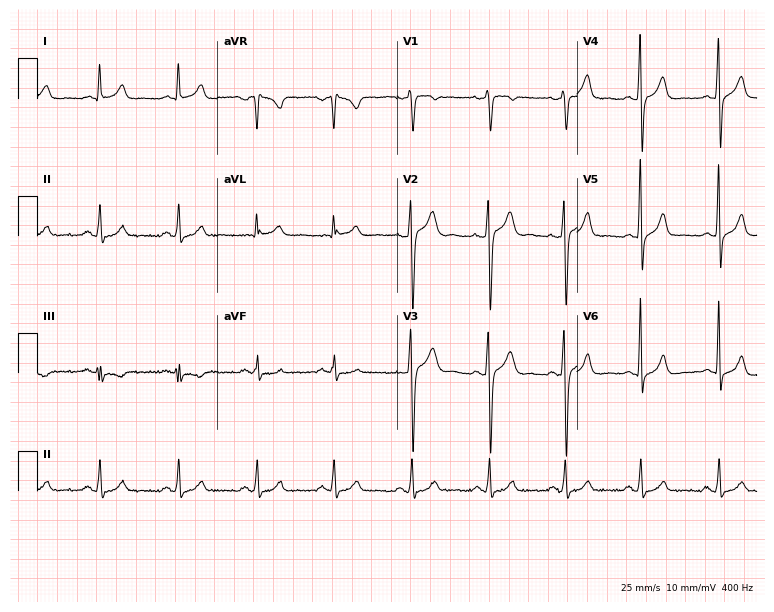
Electrocardiogram (7.3-second recording at 400 Hz), a 37-year-old man. Overall reading on record: normal ECG.